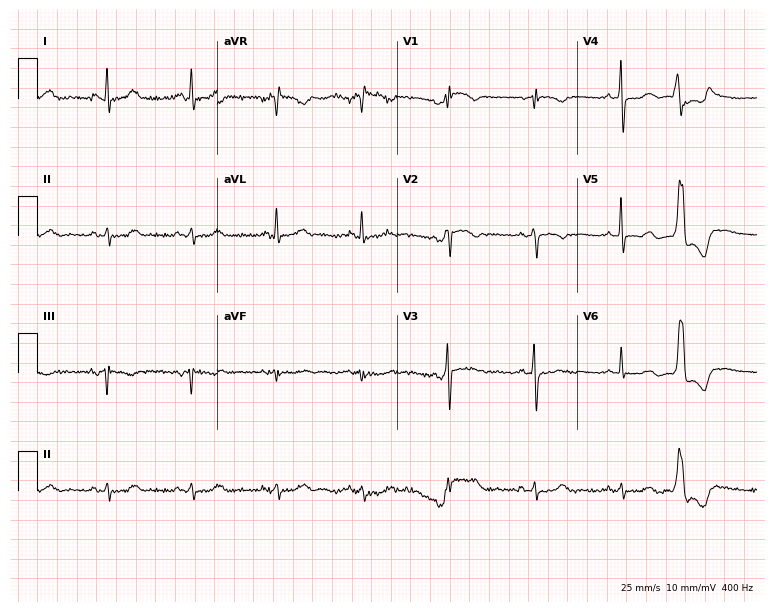
Resting 12-lead electrocardiogram (7.3-second recording at 400 Hz). Patient: a female, 81 years old. None of these six findings is recorded: first-degree AV block, right bundle branch block, left bundle branch block, sinus bradycardia, atrial fibrillation, sinus tachycardia.